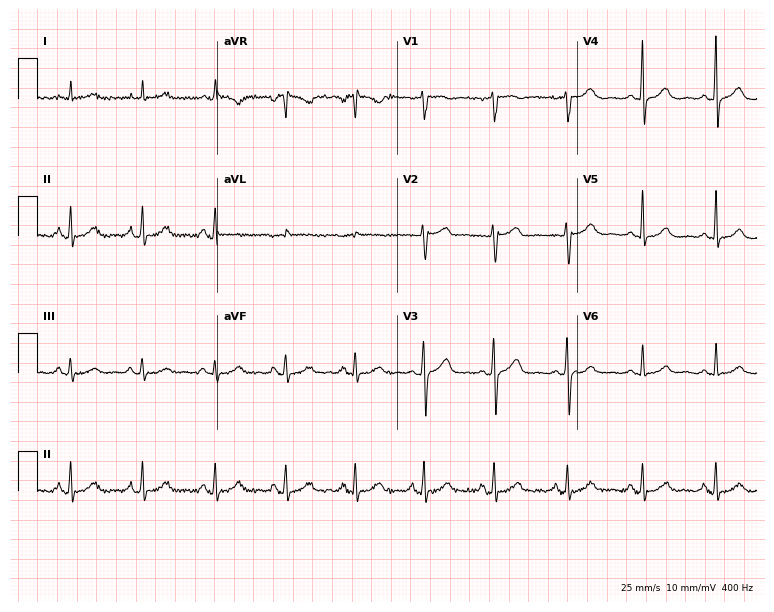
Resting 12-lead electrocardiogram. Patient: a woman, 63 years old. None of these six findings is recorded: first-degree AV block, right bundle branch block, left bundle branch block, sinus bradycardia, atrial fibrillation, sinus tachycardia.